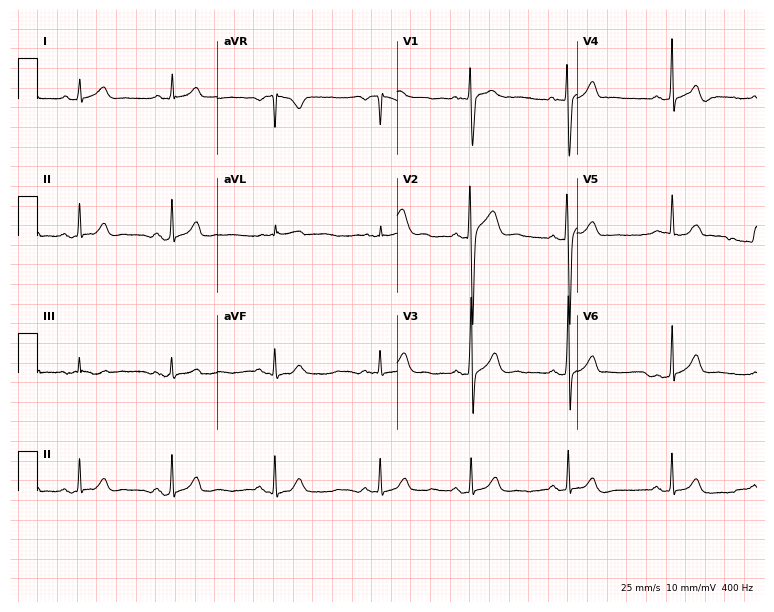
Resting 12-lead electrocardiogram. Patient: a 26-year-old man. Read as a normal ECG.